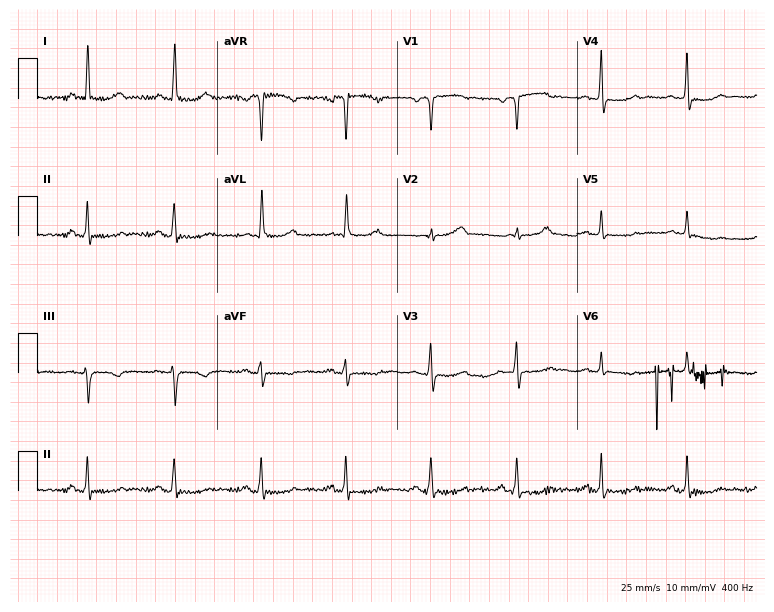
ECG (7.3-second recording at 400 Hz) — a 59-year-old woman. Screened for six findings — first-degree AV block, right bundle branch block, left bundle branch block, sinus bradycardia, atrial fibrillation, sinus tachycardia — none is recorded. Other findings, if any, are not listed.